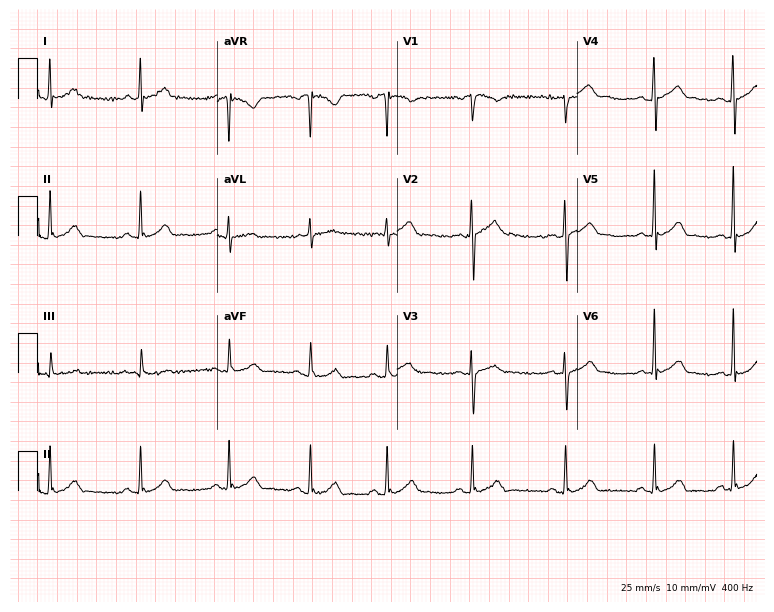
Standard 12-lead ECG recorded from a man, 24 years old (7.3-second recording at 400 Hz). Read as a normal ECG.